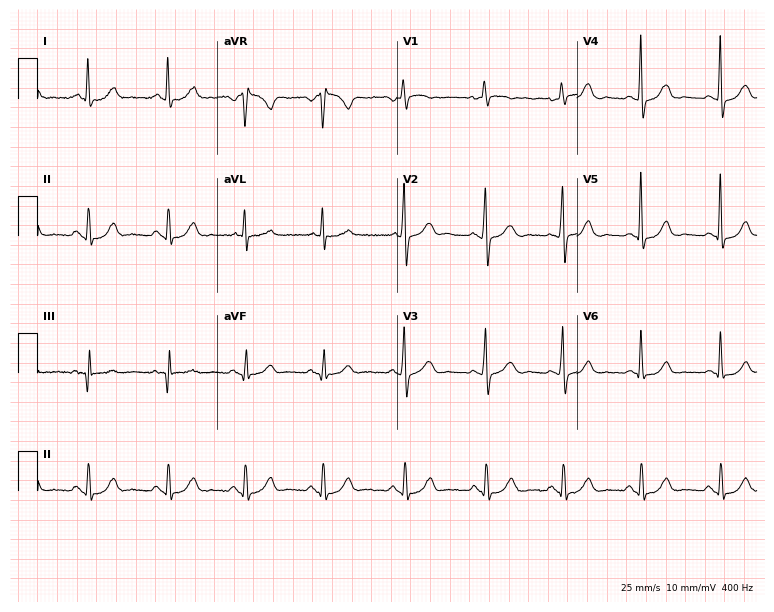
Electrocardiogram (7.3-second recording at 400 Hz), a 48-year-old female. Overall reading on record: normal ECG.